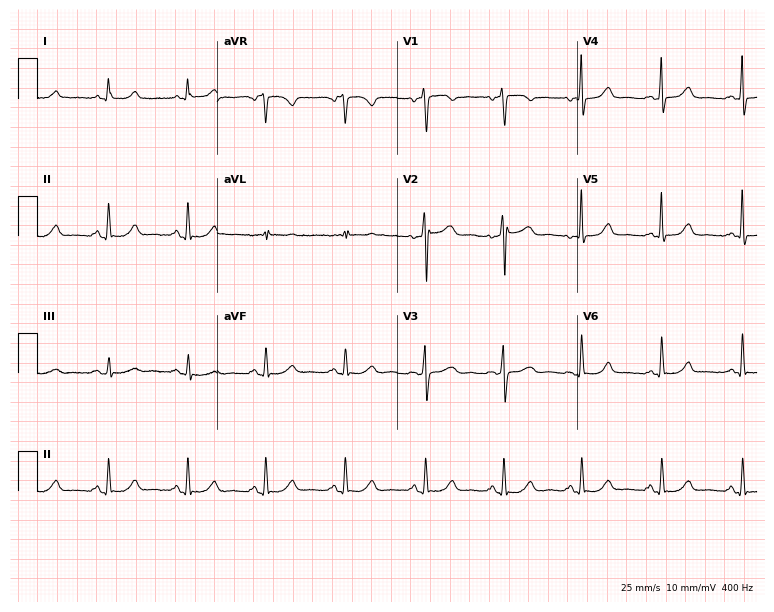
Standard 12-lead ECG recorded from a 56-year-old female patient. Read as a normal ECG.